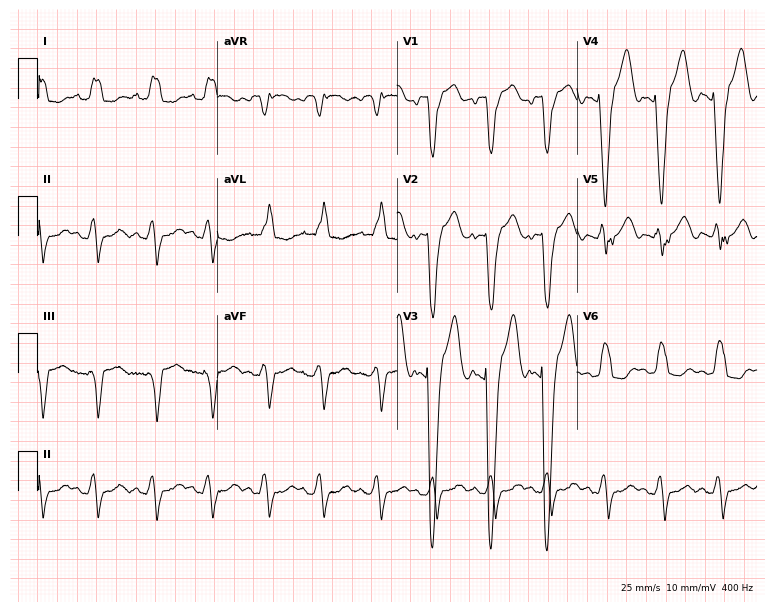
Electrocardiogram (7.3-second recording at 400 Hz), a female patient, 48 years old. Interpretation includes left bundle branch block (LBBB), sinus tachycardia (a sinus rate of 100 beats per minute or more).